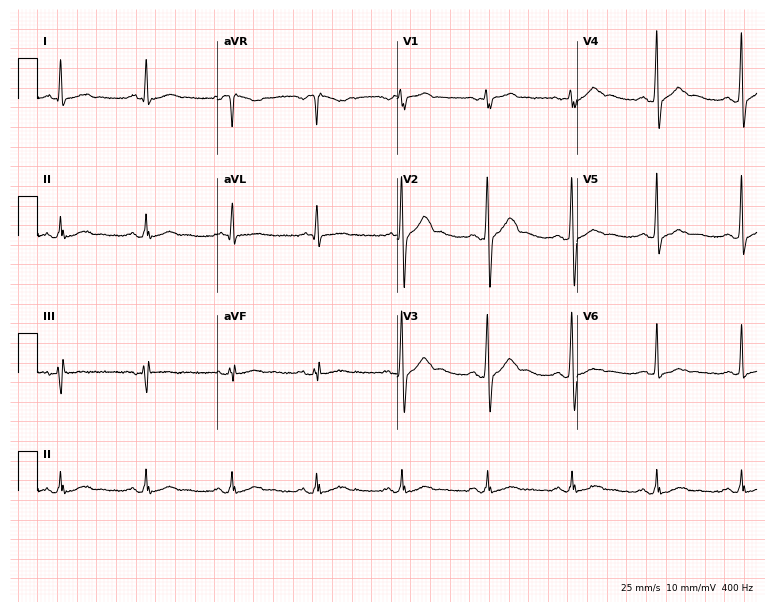
12-lead ECG from a female, 53 years old. Screened for six findings — first-degree AV block, right bundle branch block, left bundle branch block, sinus bradycardia, atrial fibrillation, sinus tachycardia — none is recorded. Only these six findings were labelled.